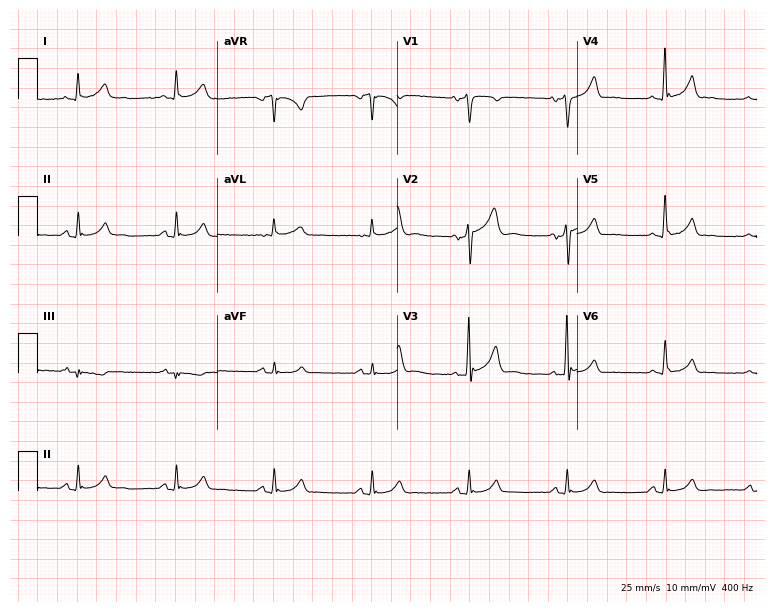
Electrocardiogram (7.3-second recording at 400 Hz), a male patient, 61 years old. Of the six screened findings (first-degree AV block, right bundle branch block (RBBB), left bundle branch block (LBBB), sinus bradycardia, atrial fibrillation (AF), sinus tachycardia), none is recorded.